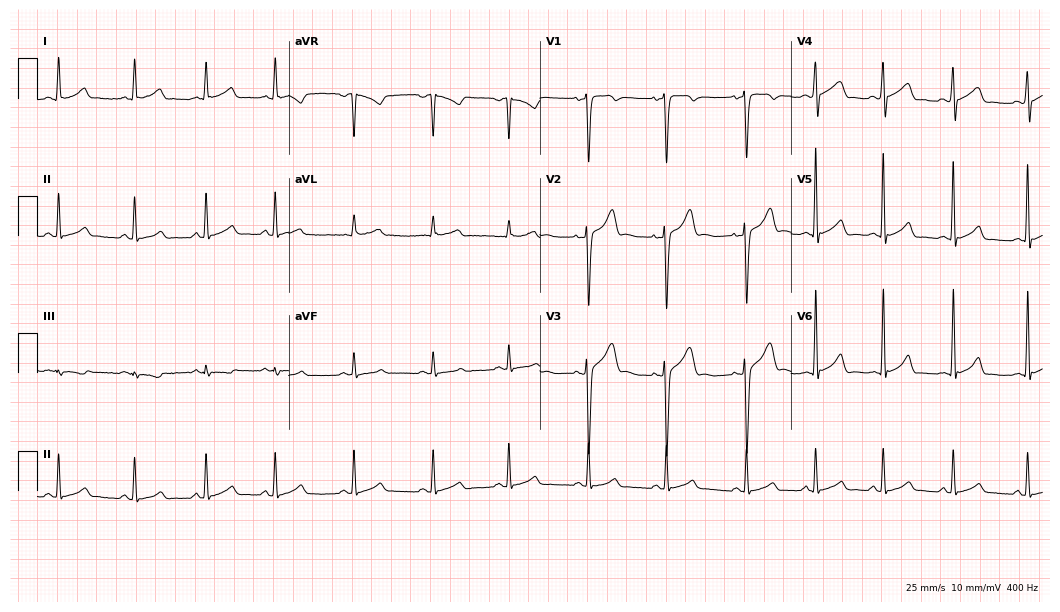
12-lead ECG from a 30-year-old male (10.2-second recording at 400 Hz). Recorded interpretation: within normal limits.